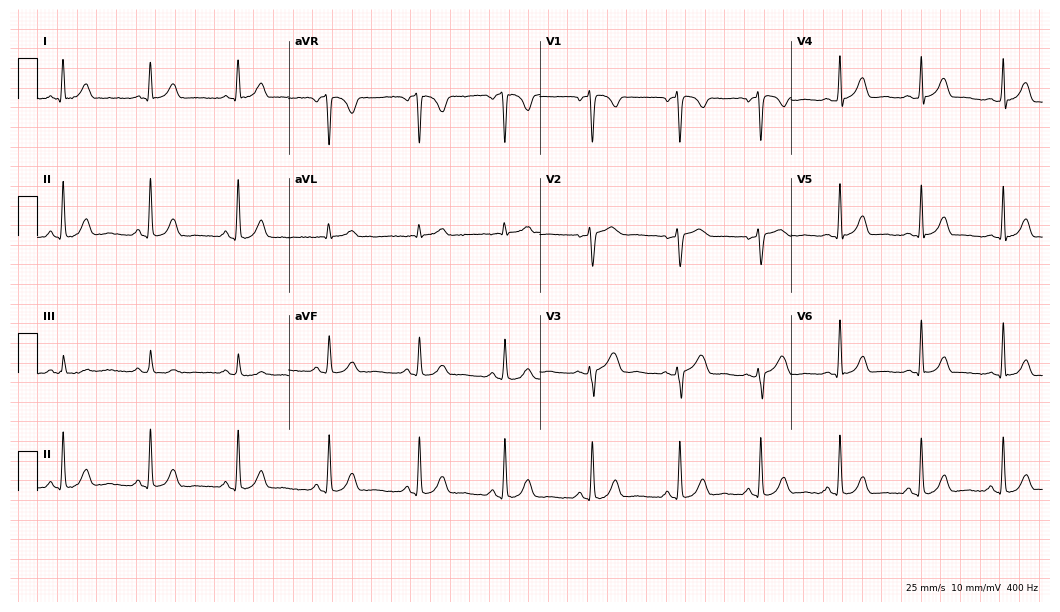
Standard 12-lead ECG recorded from a female patient, 34 years old (10.2-second recording at 400 Hz). None of these six findings is recorded: first-degree AV block, right bundle branch block, left bundle branch block, sinus bradycardia, atrial fibrillation, sinus tachycardia.